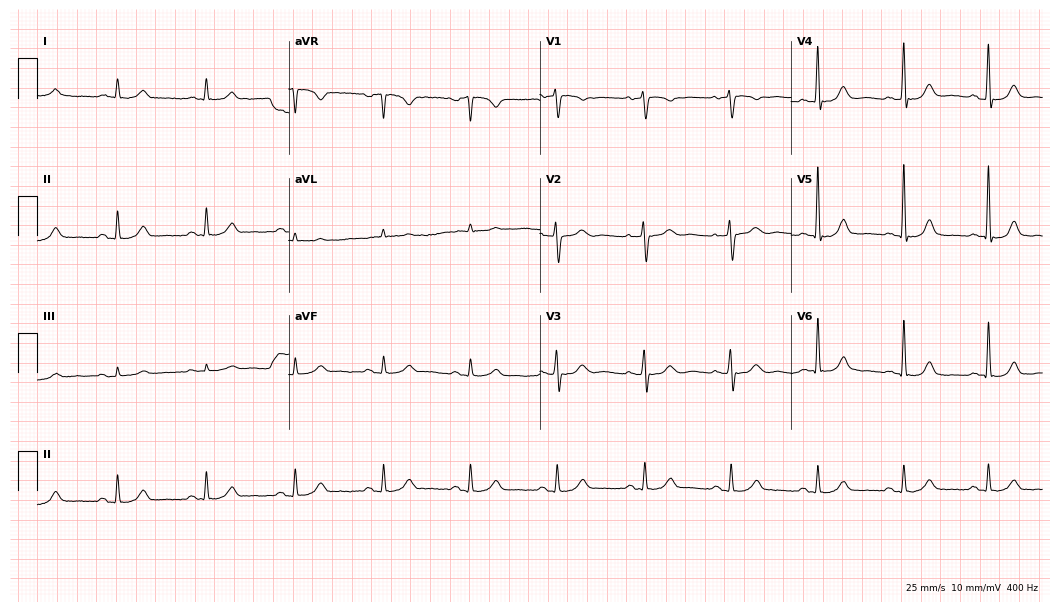
12-lead ECG from a 73-year-old male patient. Labelled as a normal ECG.